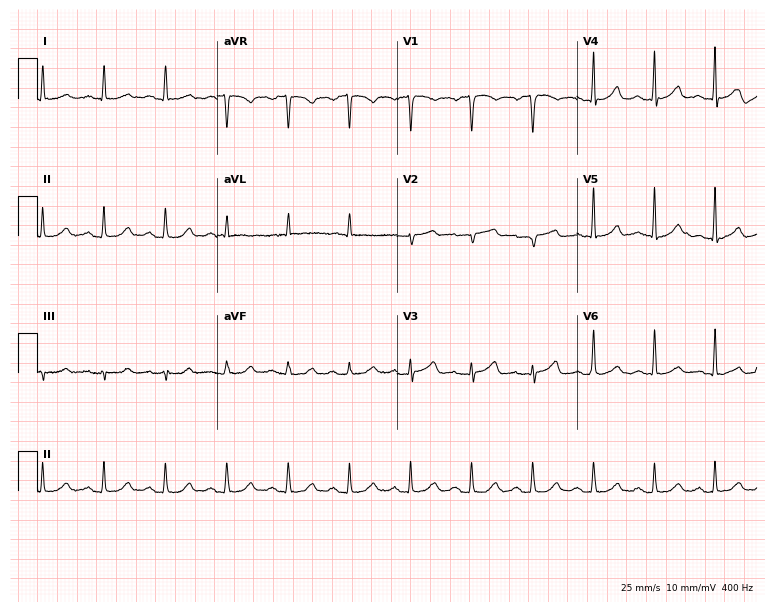
ECG (7.3-second recording at 400 Hz) — a 79-year-old female. Screened for six findings — first-degree AV block, right bundle branch block, left bundle branch block, sinus bradycardia, atrial fibrillation, sinus tachycardia — none is recorded. Other findings, if any, are not listed.